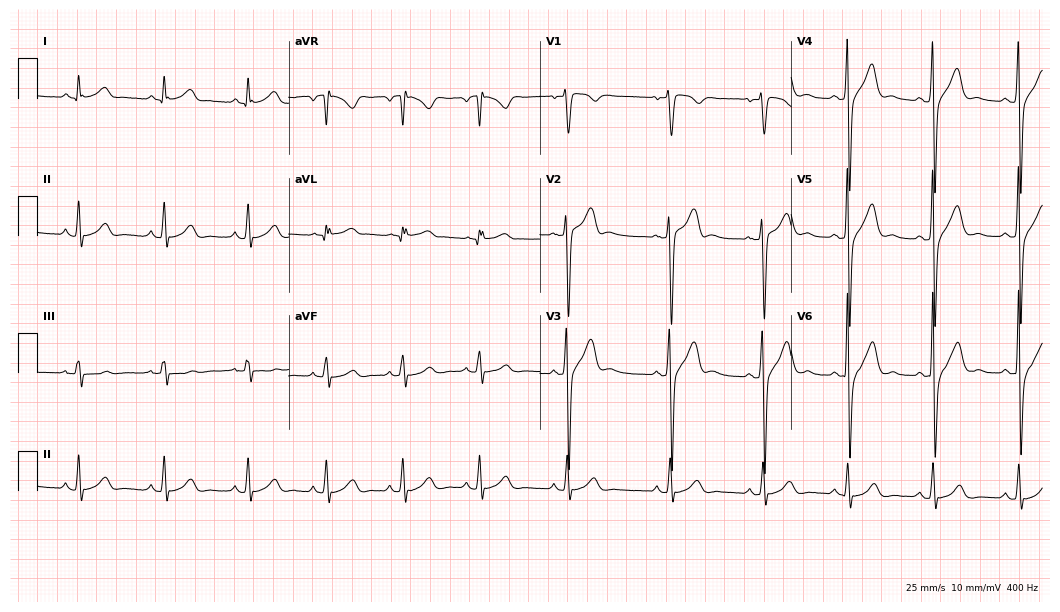
12-lead ECG (10.2-second recording at 400 Hz) from a male patient, 30 years old. Screened for six findings — first-degree AV block, right bundle branch block, left bundle branch block, sinus bradycardia, atrial fibrillation, sinus tachycardia — none is recorded.